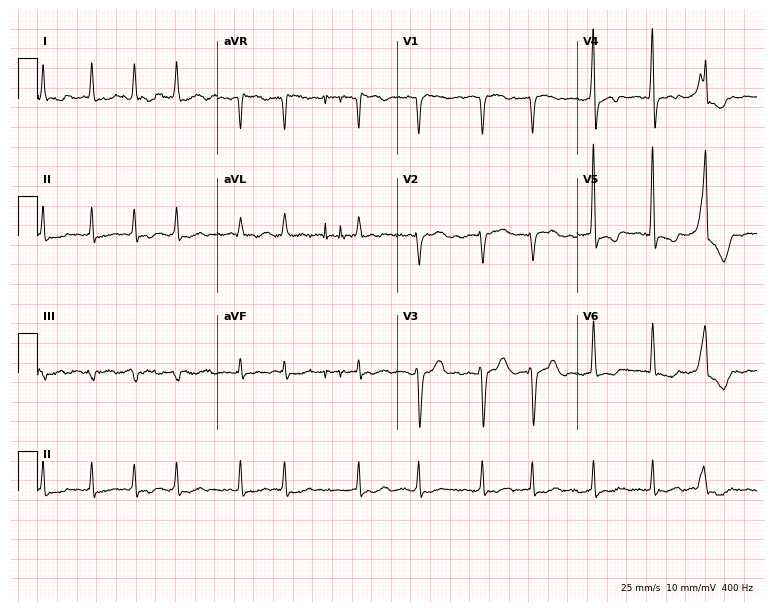
12-lead ECG from a 74-year-old male patient. Shows atrial fibrillation.